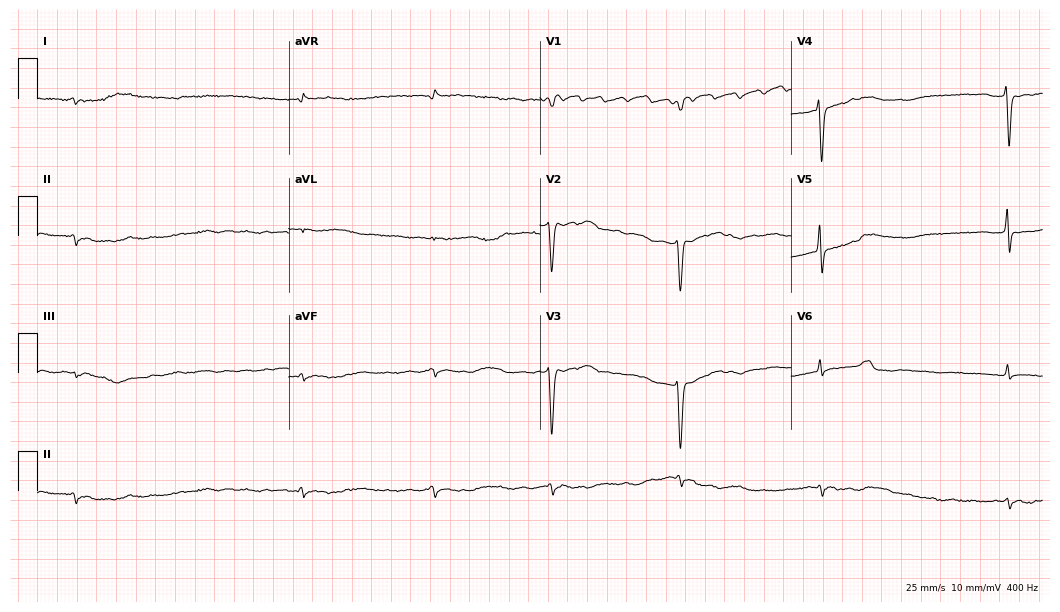
12-lead ECG from a female patient, 56 years old. Findings include atrial fibrillation.